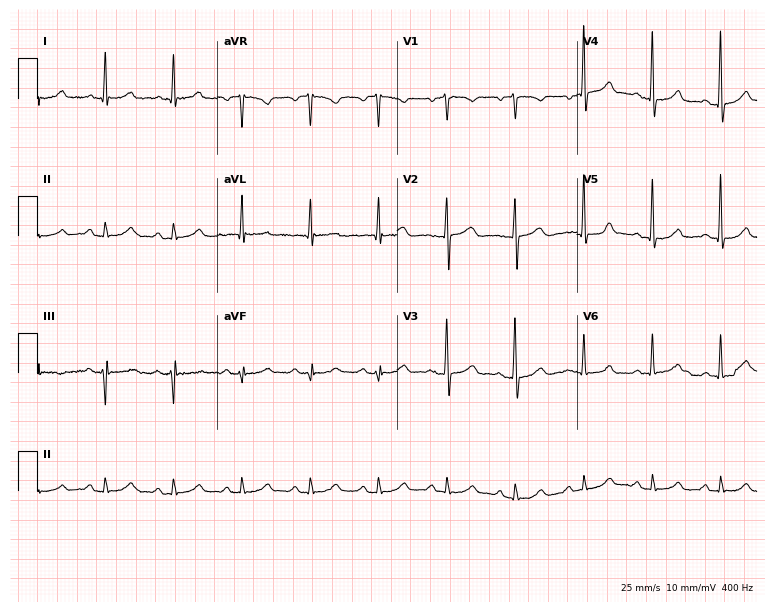
ECG — a female patient, 58 years old. Screened for six findings — first-degree AV block, right bundle branch block (RBBB), left bundle branch block (LBBB), sinus bradycardia, atrial fibrillation (AF), sinus tachycardia — none is recorded. Findings outside these six are not listed.